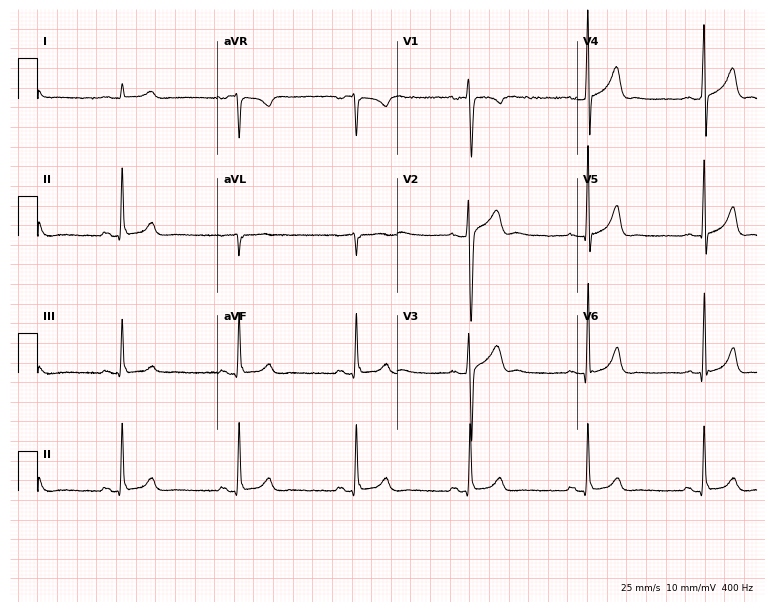
12-lead ECG (7.3-second recording at 400 Hz) from a 23-year-old male patient. Labelled as a normal ECG.